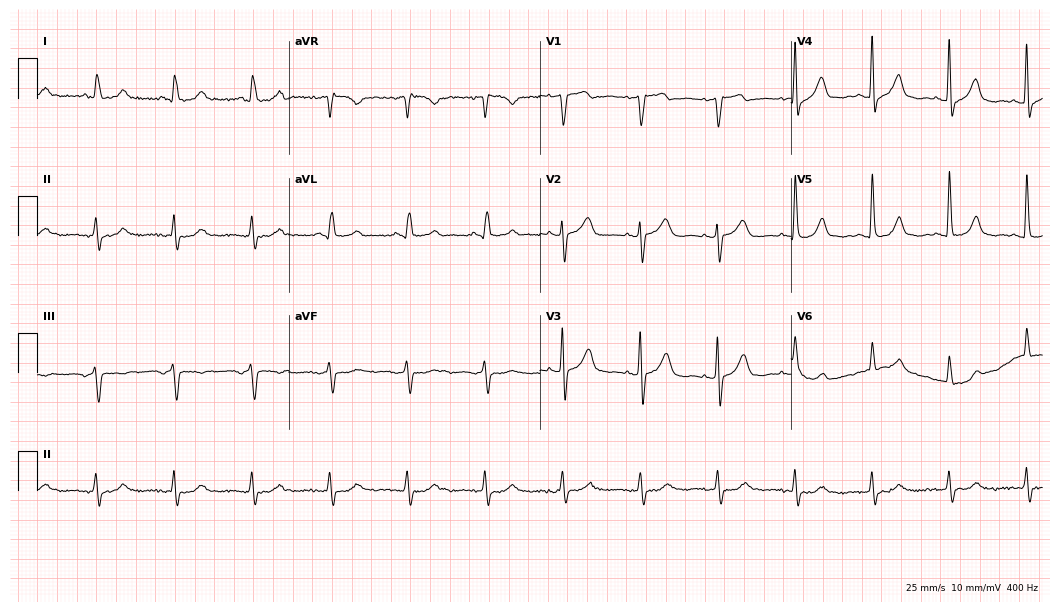
Resting 12-lead electrocardiogram (10.2-second recording at 400 Hz). Patient: an 85-year-old man. Read as a normal ECG.